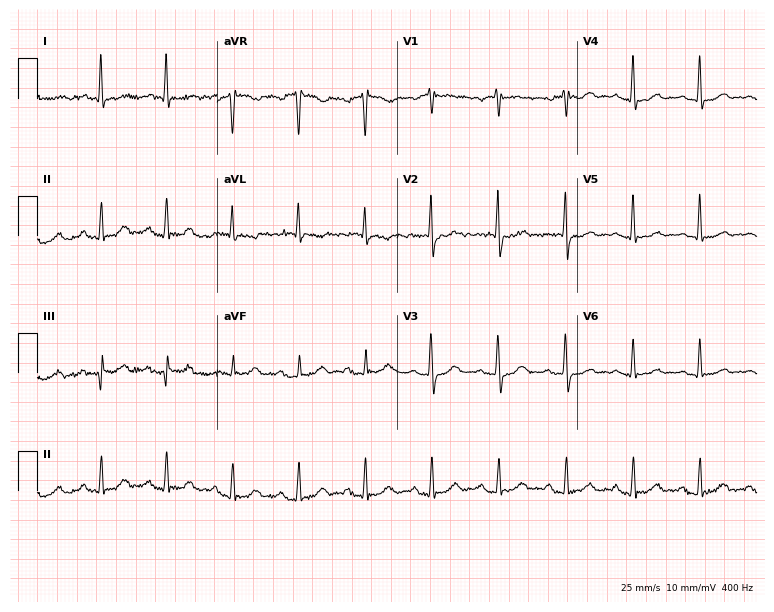
12-lead ECG from a woman, 65 years old. No first-degree AV block, right bundle branch block (RBBB), left bundle branch block (LBBB), sinus bradycardia, atrial fibrillation (AF) or sinus tachycardia recorded for this tracing. Only these six findings were labelled.